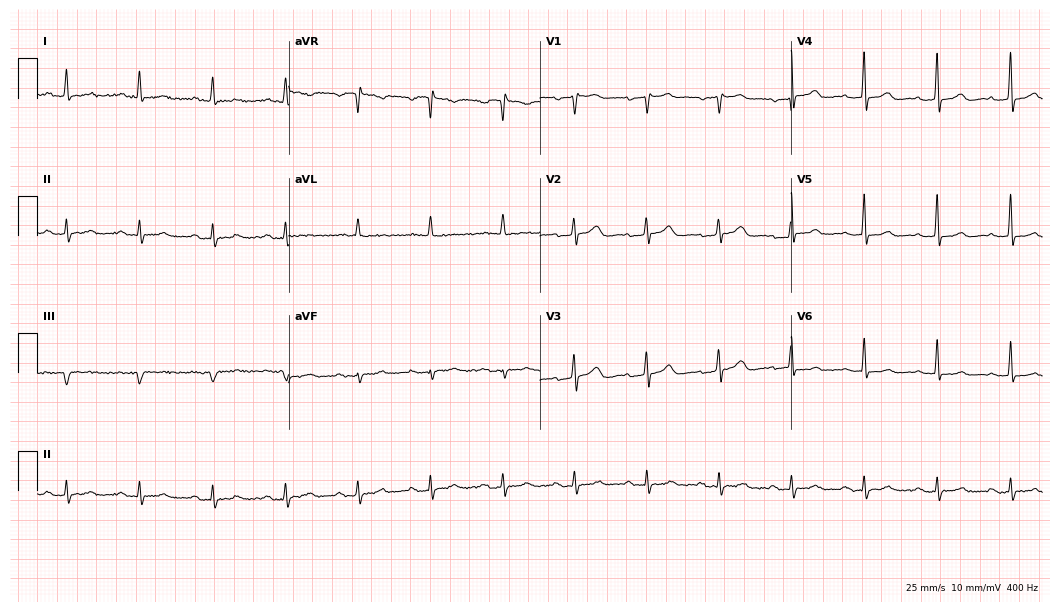
12-lead ECG from a female patient, 66 years old. Screened for six findings — first-degree AV block, right bundle branch block, left bundle branch block, sinus bradycardia, atrial fibrillation, sinus tachycardia — none is recorded. Other findings, if any, are not listed.